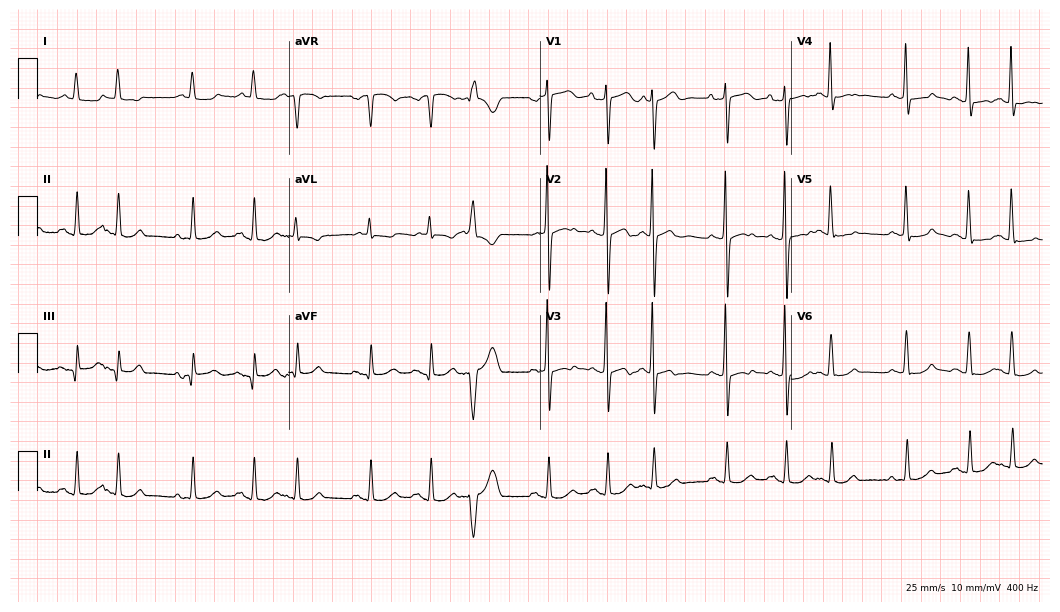
Resting 12-lead electrocardiogram (10.2-second recording at 400 Hz). Patient: a 77-year-old male. None of these six findings is recorded: first-degree AV block, right bundle branch block, left bundle branch block, sinus bradycardia, atrial fibrillation, sinus tachycardia.